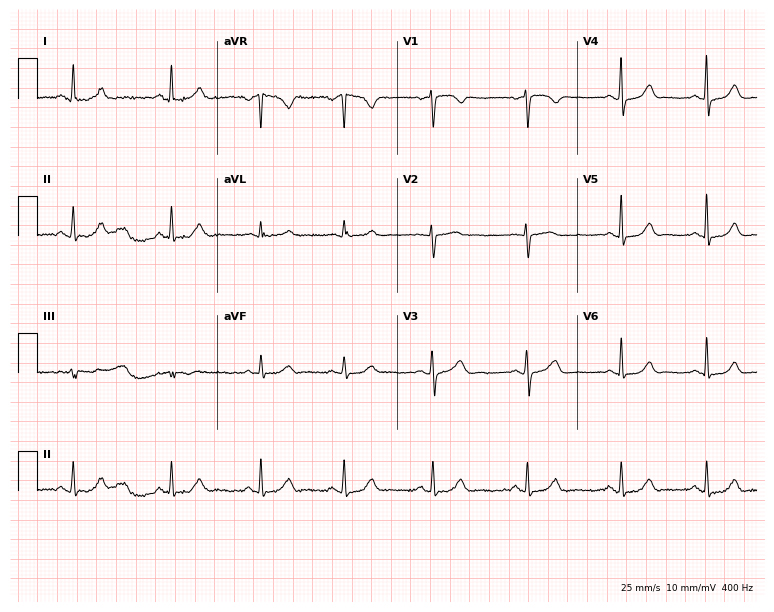
Resting 12-lead electrocardiogram (7.3-second recording at 400 Hz). Patient: a 35-year-old woman. Read as a normal ECG.